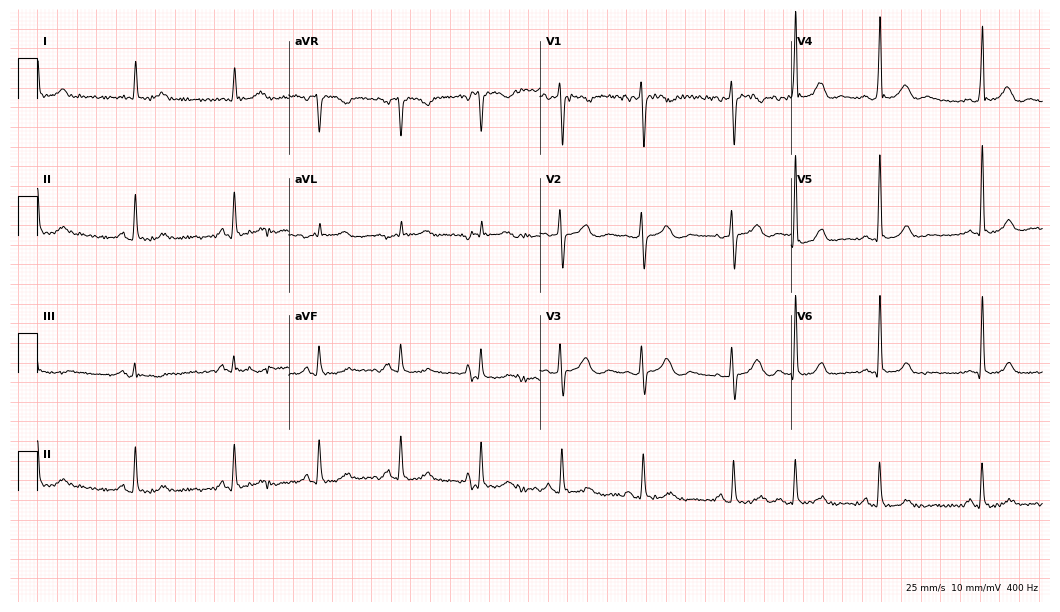
12-lead ECG from a male, 49 years old. No first-degree AV block, right bundle branch block (RBBB), left bundle branch block (LBBB), sinus bradycardia, atrial fibrillation (AF) or sinus tachycardia recorded for this tracing.